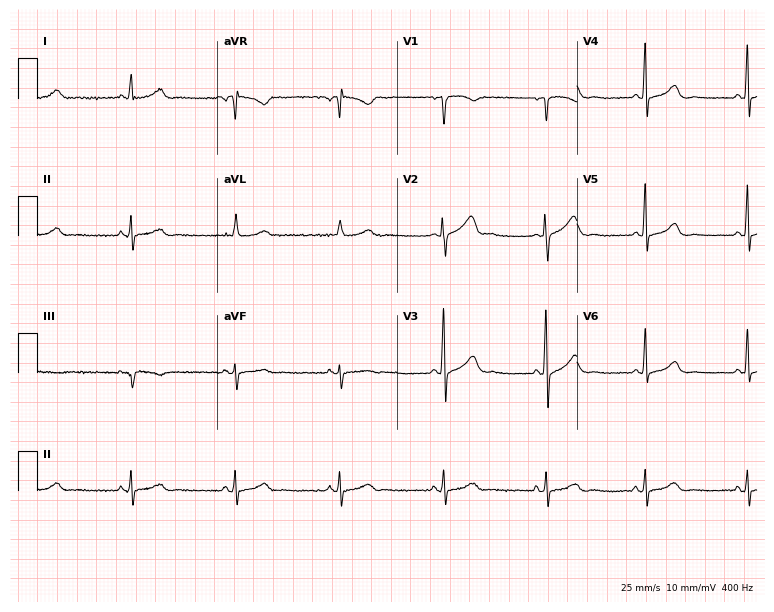
12-lead ECG from a female, 35 years old (7.3-second recording at 400 Hz). Recorded interpretation: within normal limits.